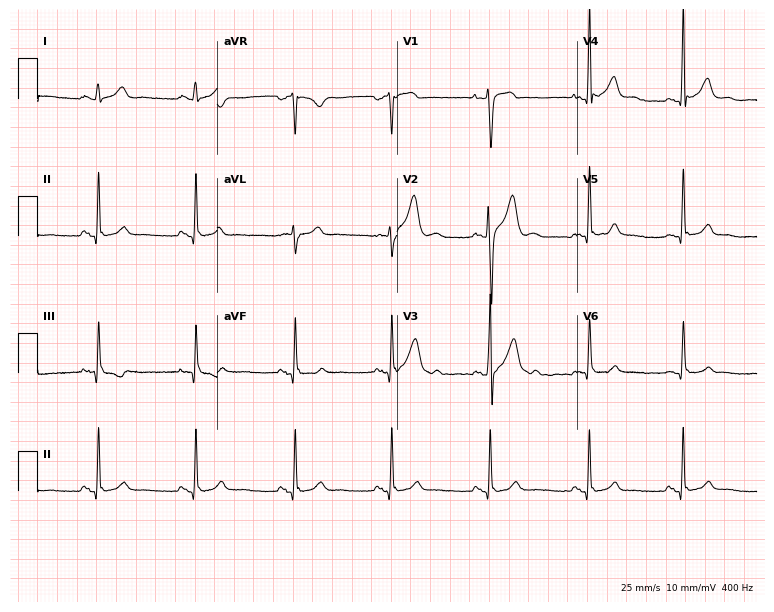
Standard 12-lead ECG recorded from a 35-year-old male (7.3-second recording at 400 Hz). None of these six findings is recorded: first-degree AV block, right bundle branch block, left bundle branch block, sinus bradycardia, atrial fibrillation, sinus tachycardia. Other findings, if any, are not listed.